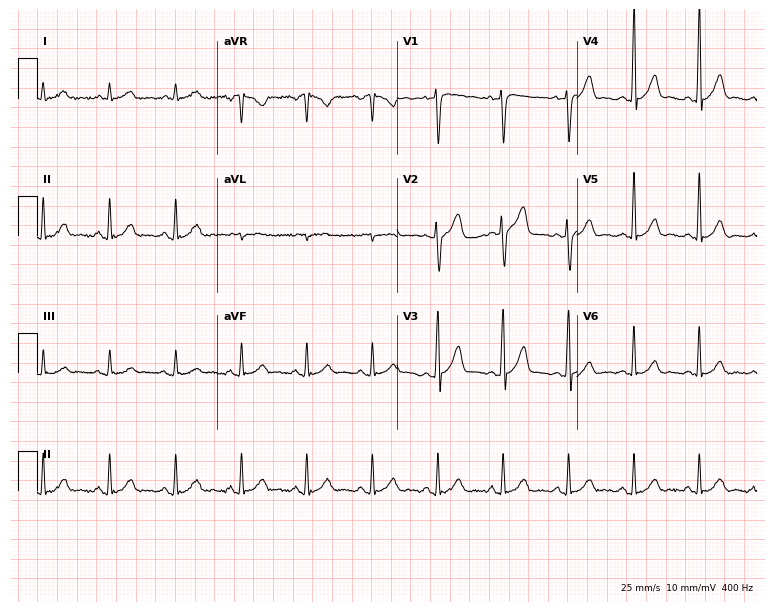
Electrocardiogram (7.3-second recording at 400 Hz), a 60-year-old male patient. Of the six screened findings (first-degree AV block, right bundle branch block (RBBB), left bundle branch block (LBBB), sinus bradycardia, atrial fibrillation (AF), sinus tachycardia), none is recorded. Findings outside these six are not listed.